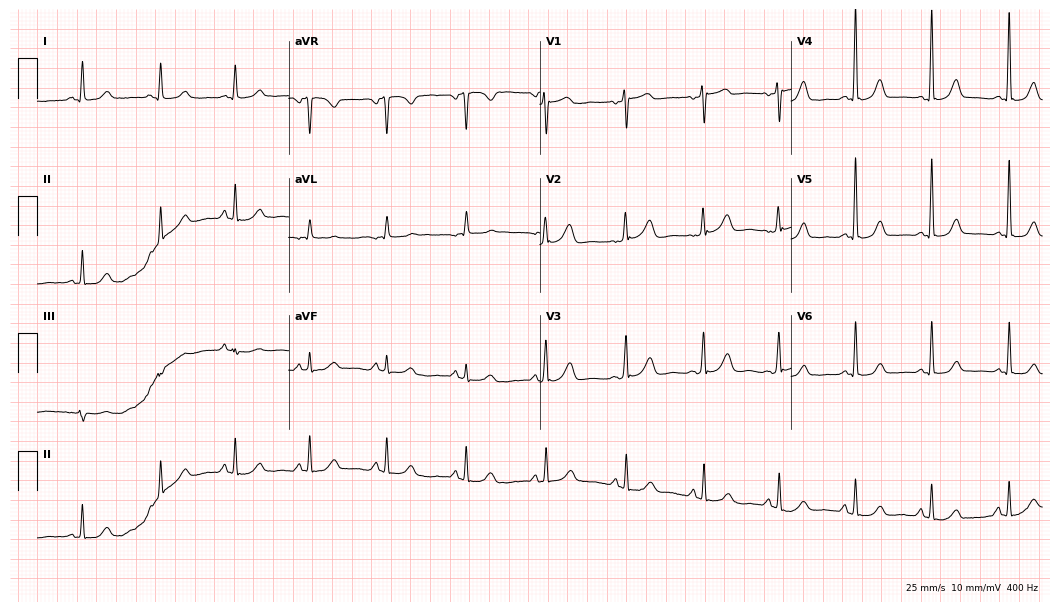
12-lead ECG from a 50-year-old female patient. Labelled as a normal ECG.